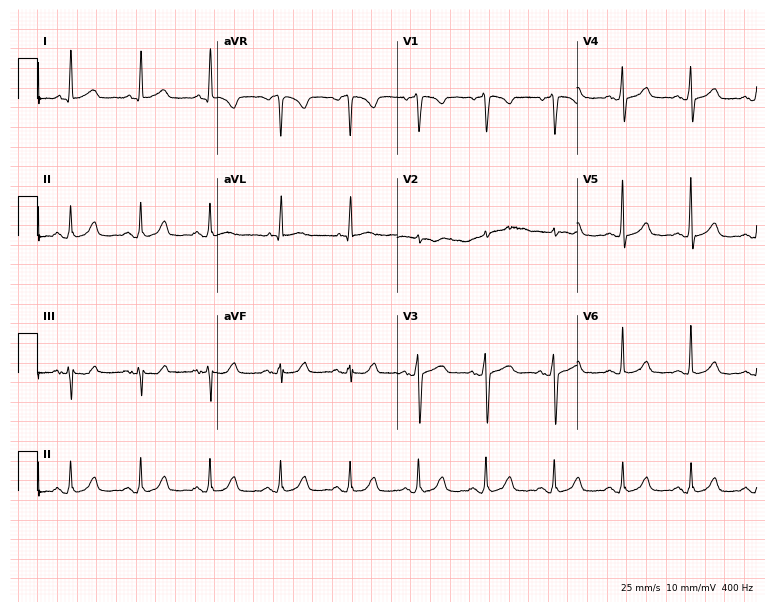
Electrocardiogram, a female, 69 years old. Overall reading on record: normal ECG.